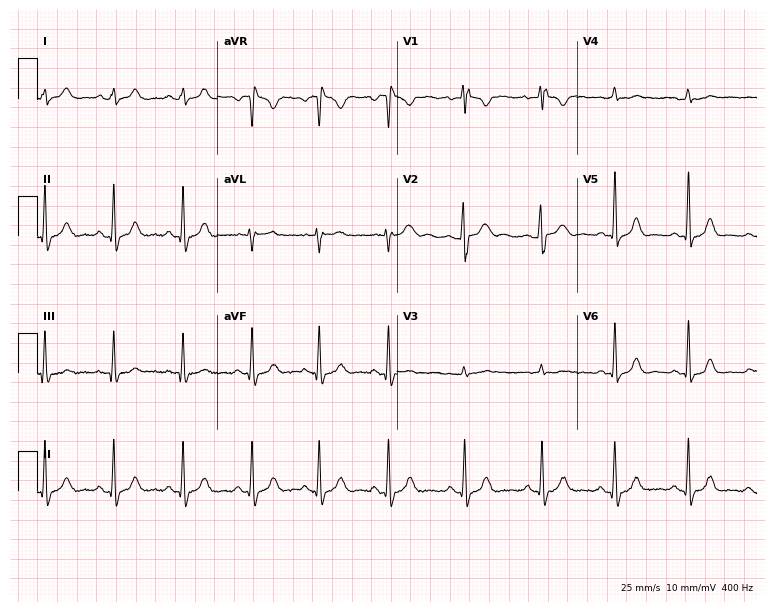
12-lead ECG from a female, 27 years old (7.3-second recording at 400 Hz). Recorded interpretation: within normal limits.